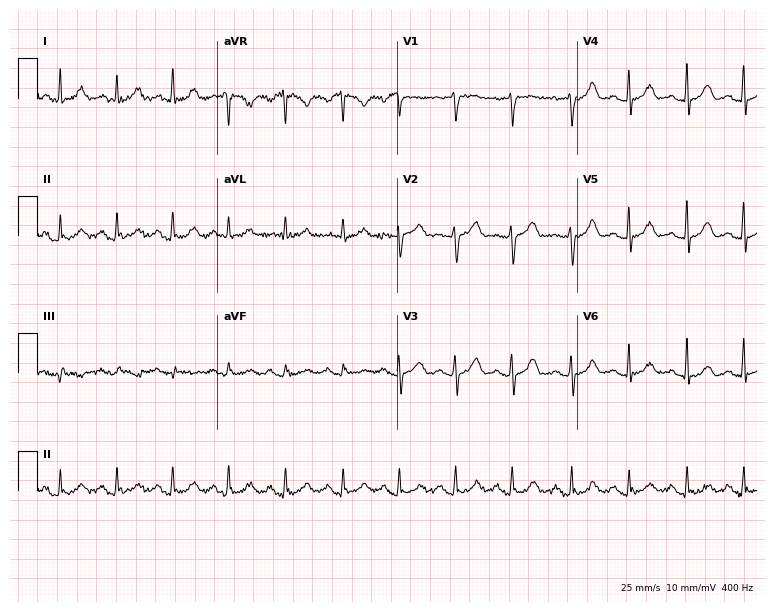
12-lead ECG from a 66-year-old female (7.3-second recording at 400 Hz). Shows sinus tachycardia (a sinus rate of 100 beats per minute or more).